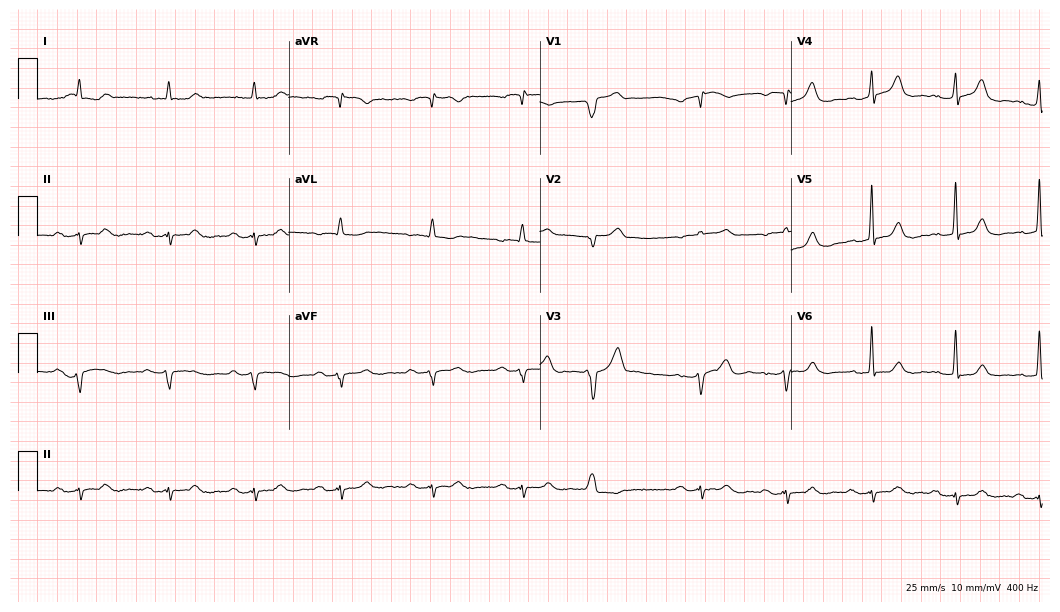
Standard 12-lead ECG recorded from a female patient, 59 years old (10.2-second recording at 400 Hz). The tracing shows first-degree AV block.